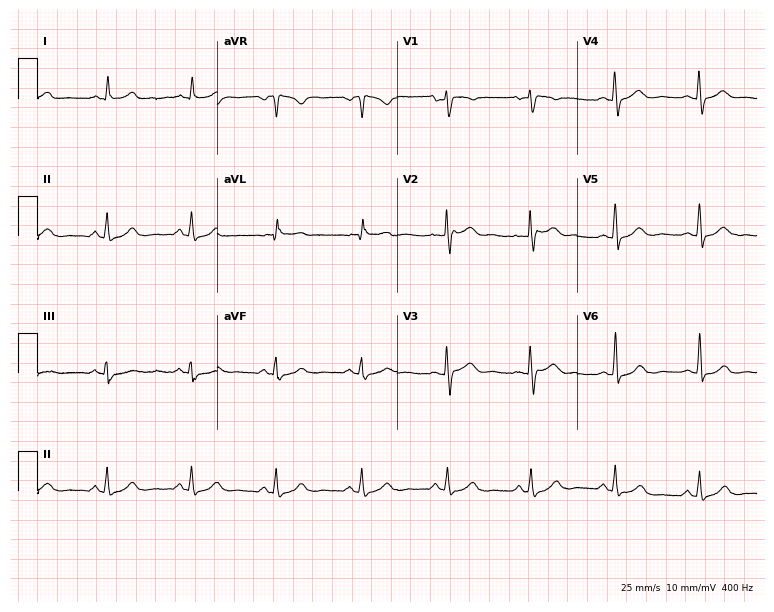
ECG (7.3-second recording at 400 Hz) — a female patient, 53 years old. Labelled as a normal ECG.